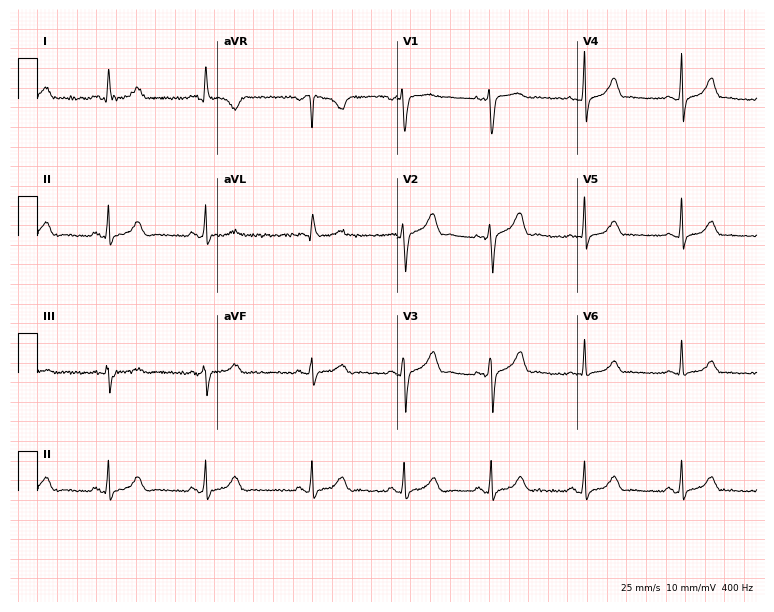
12-lead ECG from a female patient, 35 years old. Recorded interpretation: within normal limits.